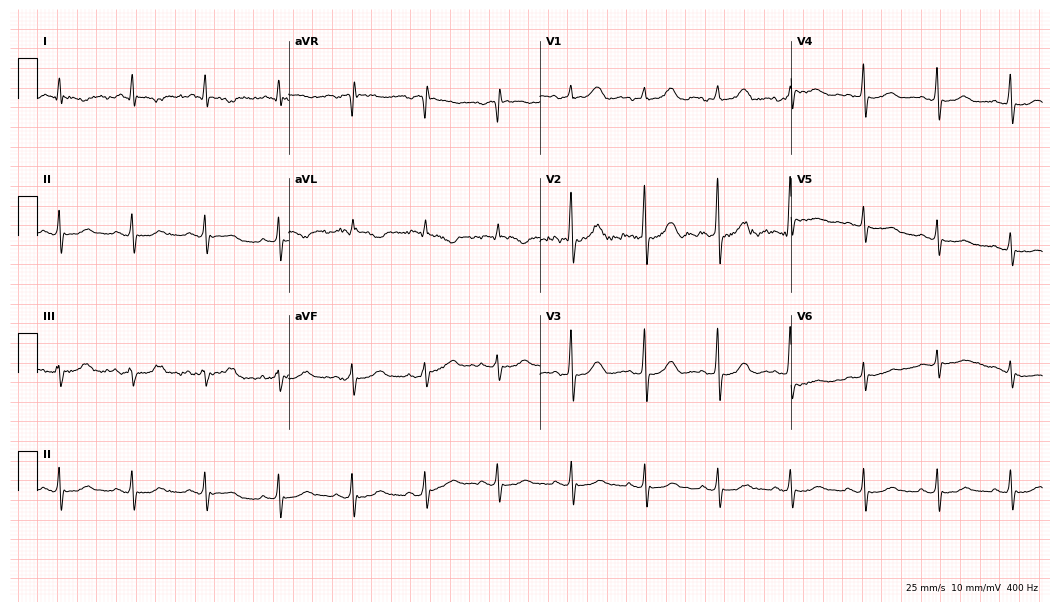
Resting 12-lead electrocardiogram (10.2-second recording at 400 Hz). Patient: a woman, 79 years old. None of these six findings is recorded: first-degree AV block, right bundle branch block, left bundle branch block, sinus bradycardia, atrial fibrillation, sinus tachycardia.